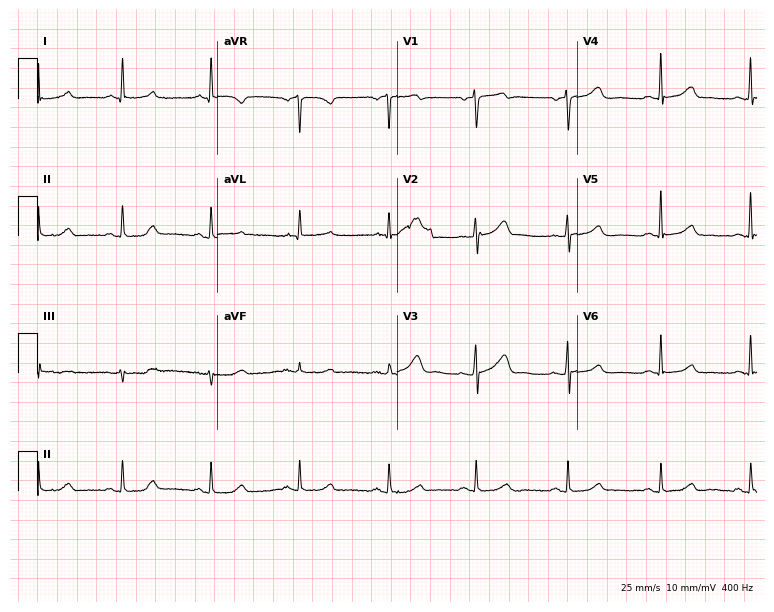
12-lead ECG (7.3-second recording at 400 Hz) from a 75-year-old female patient. Labelled as a normal ECG.